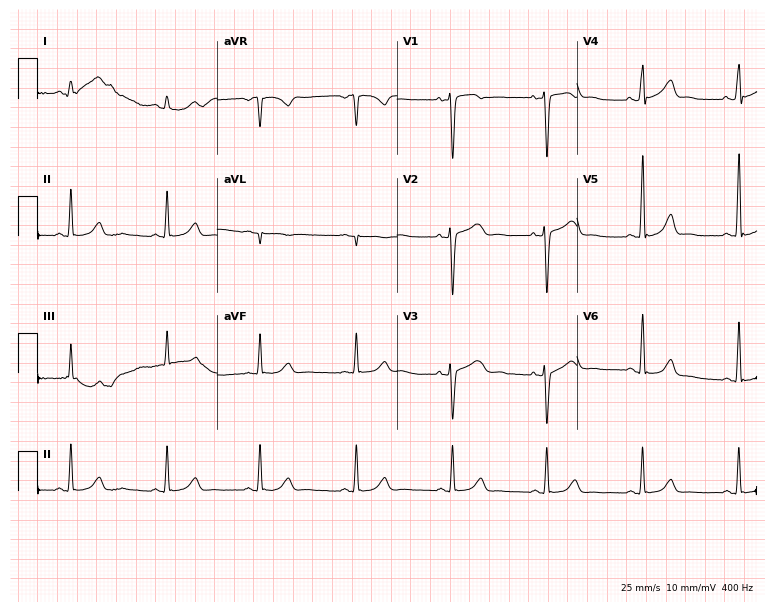
12-lead ECG (7.3-second recording at 400 Hz) from a 47-year-old woman. Screened for six findings — first-degree AV block, right bundle branch block, left bundle branch block, sinus bradycardia, atrial fibrillation, sinus tachycardia — none is recorded.